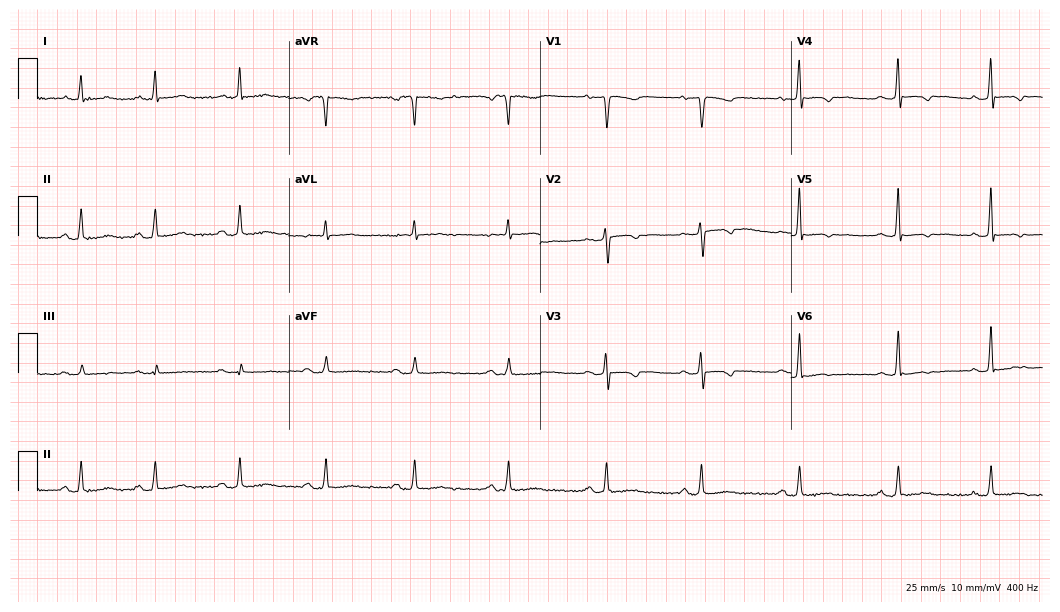
12-lead ECG from a female patient, 45 years old. No first-degree AV block, right bundle branch block (RBBB), left bundle branch block (LBBB), sinus bradycardia, atrial fibrillation (AF) or sinus tachycardia recorded for this tracing.